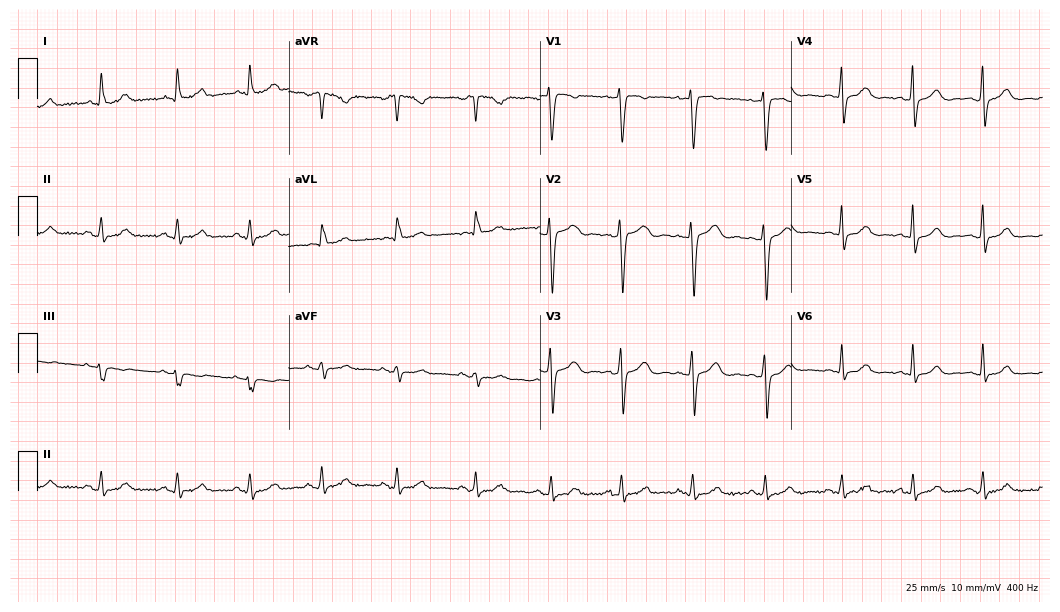
ECG — a female, 33 years old. Labelled as a normal ECG.